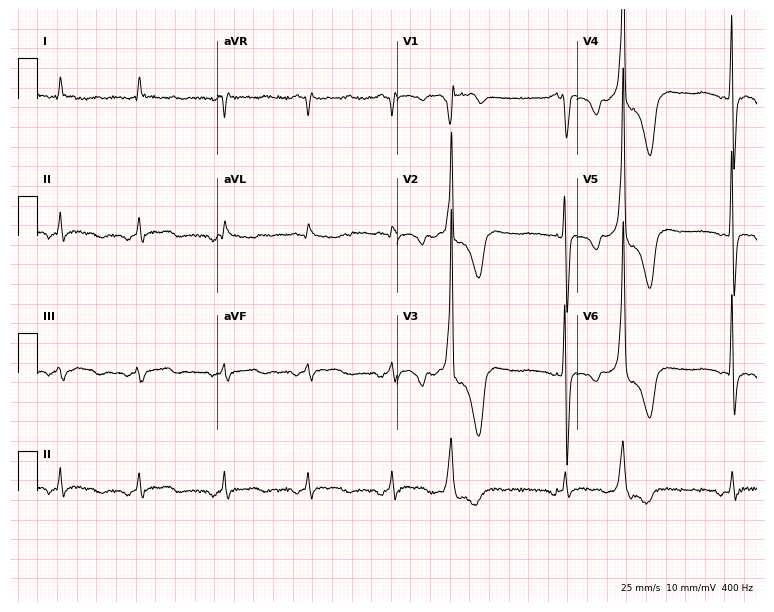
12-lead ECG from a 50-year-old male patient. No first-degree AV block, right bundle branch block, left bundle branch block, sinus bradycardia, atrial fibrillation or sinus tachycardia recorded for this tracing.